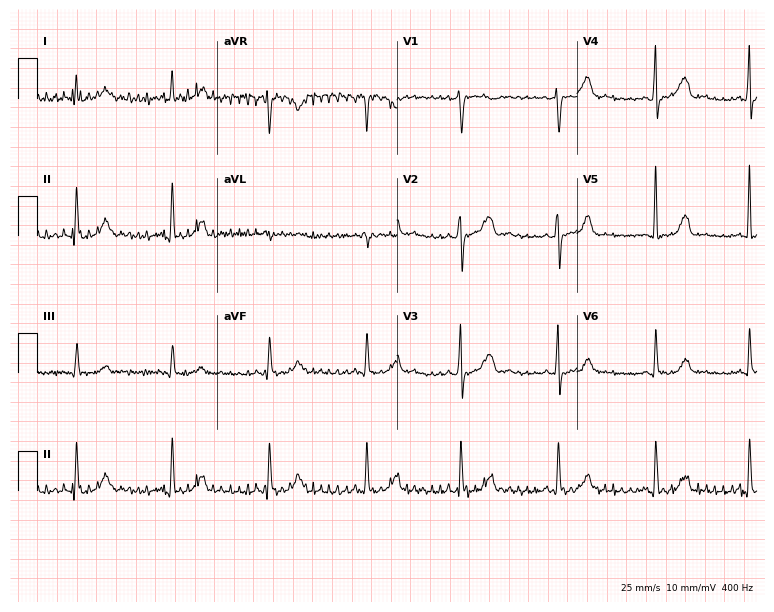
Electrocardiogram (7.3-second recording at 400 Hz), a female, 42 years old. Of the six screened findings (first-degree AV block, right bundle branch block (RBBB), left bundle branch block (LBBB), sinus bradycardia, atrial fibrillation (AF), sinus tachycardia), none is recorded. Only these six findings were labelled.